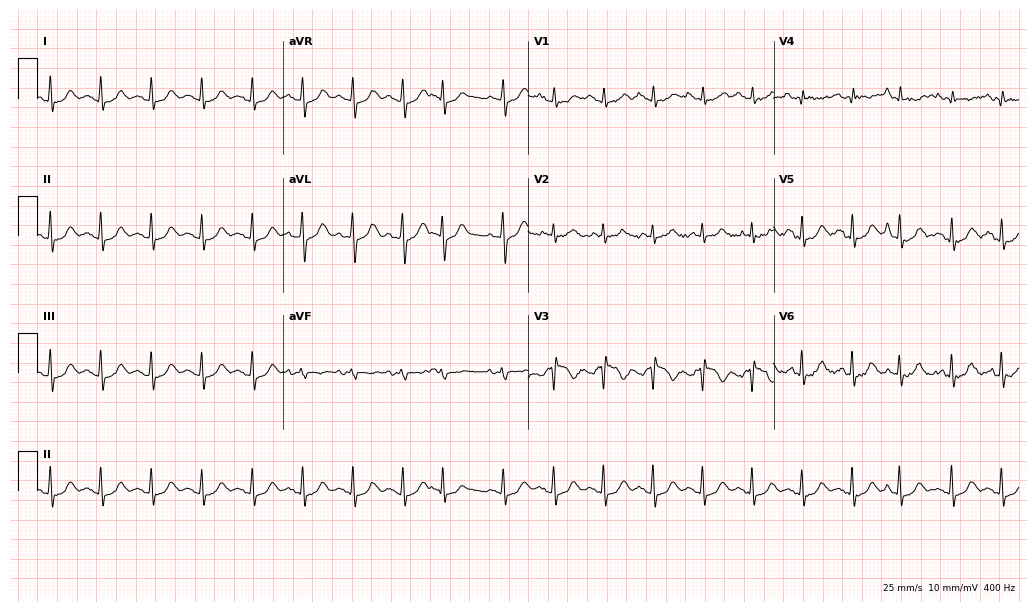
Resting 12-lead electrocardiogram. Patient: a 63-year-old female. The tracing shows sinus tachycardia (a sinus rate of 100 beats per minute or more).